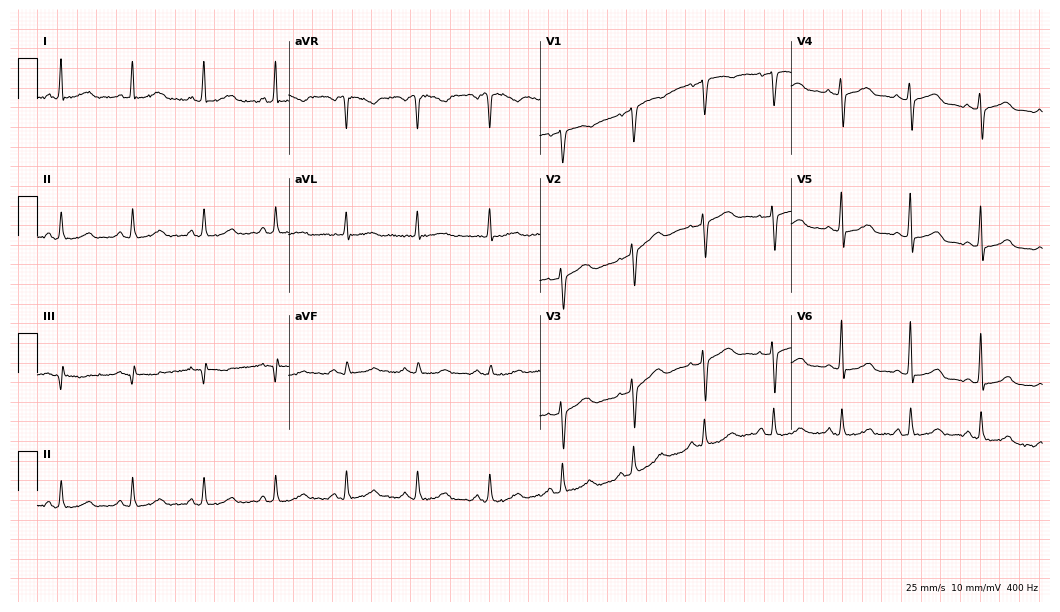
Standard 12-lead ECG recorded from a 51-year-old female patient (10.2-second recording at 400 Hz). None of these six findings is recorded: first-degree AV block, right bundle branch block (RBBB), left bundle branch block (LBBB), sinus bradycardia, atrial fibrillation (AF), sinus tachycardia. Findings outside these six are not listed.